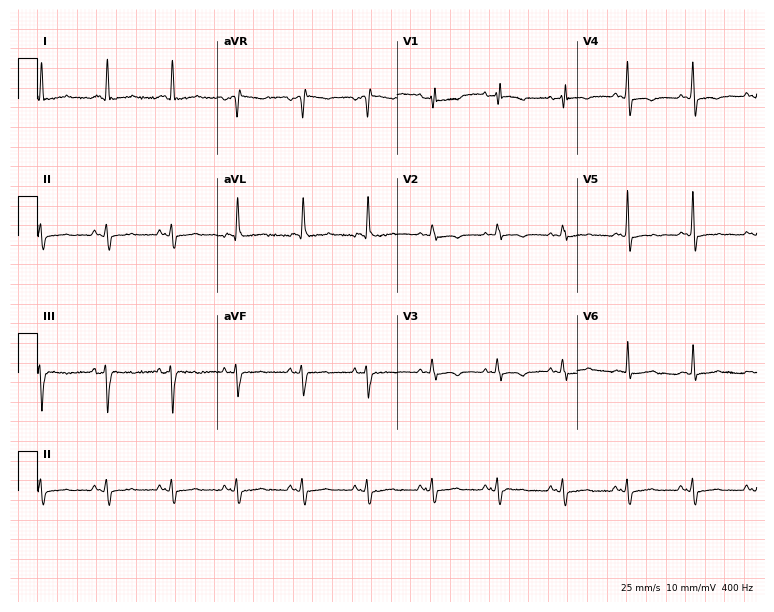
Resting 12-lead electrocardiogram (7.3-second recording at 400 Hz). Patient: a female, 82 years old. None of these six findings is recorded: first-degree AV block, right bundle branch block (RBBB), left bundle branch block (LBBB), sinus bradycardia, atrial fibrillation (AF), sinus tachycardia.